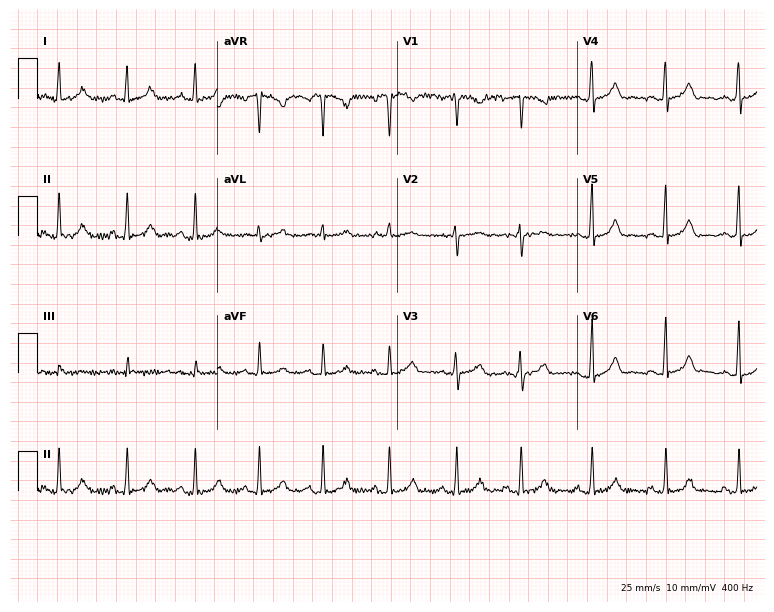
ECG — a female, 28 years old. Screened for six findings — first-degree AV block, right bundle branch block (RBBB), left bundle branch block (LBBB), sinus bradycardia, atrial fibrillation (AF), sinus tachycardia — none is recorded. Other findings, if any, are not listed.